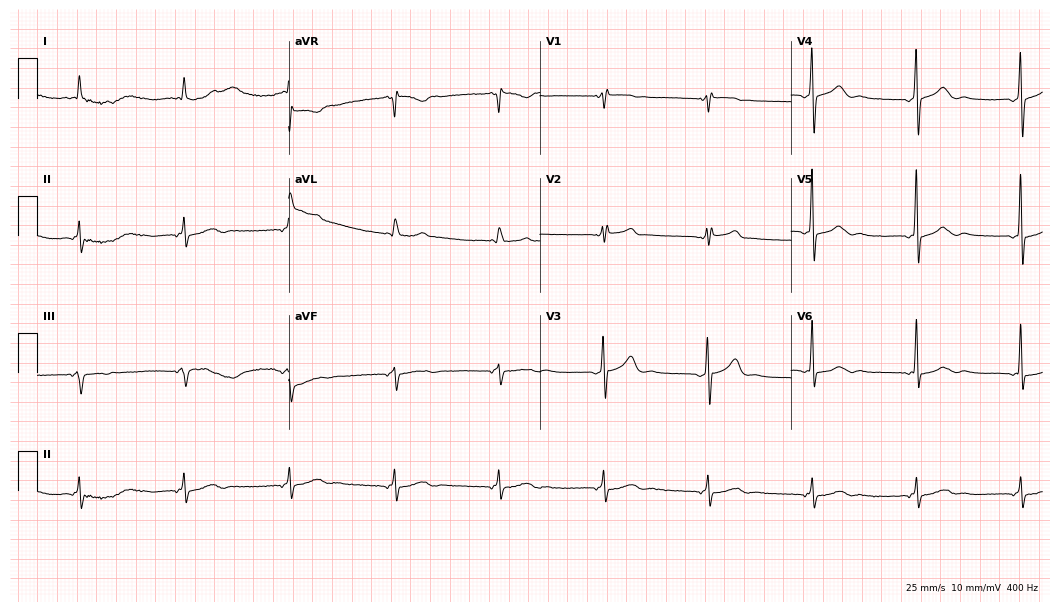
ECG (10.2-second recording at 400 Hz) — a 71-year-old male patient. Labelled as a normal ECG.